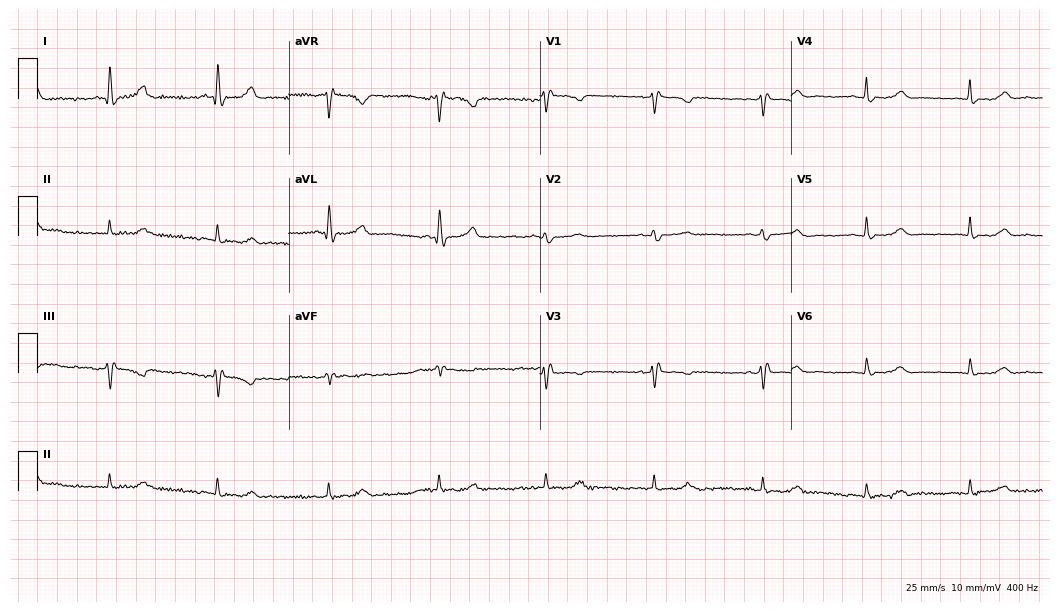
ECG — a woman, 67 years old. Screened for six findings — first-degree AV block, right bundle branch block (RBBB), left bundle branch block (LBBB), sinus bradycardia, atrial fibrillation (AF), sinus tachycardia — none is recorded. Only these six findings were labelled.